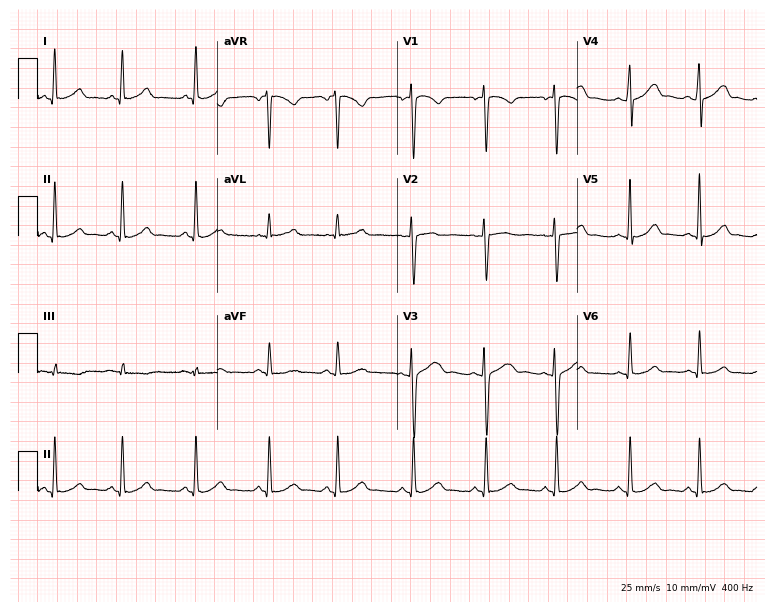
Standard 12-lead ECG recorded from a woman, 18 years old. None of these six findings is recorded: first-degree AV block, right bundle branch block, left bundle branch block, sinus bradycardia, atrial fibrillation, sinus tachycardia.